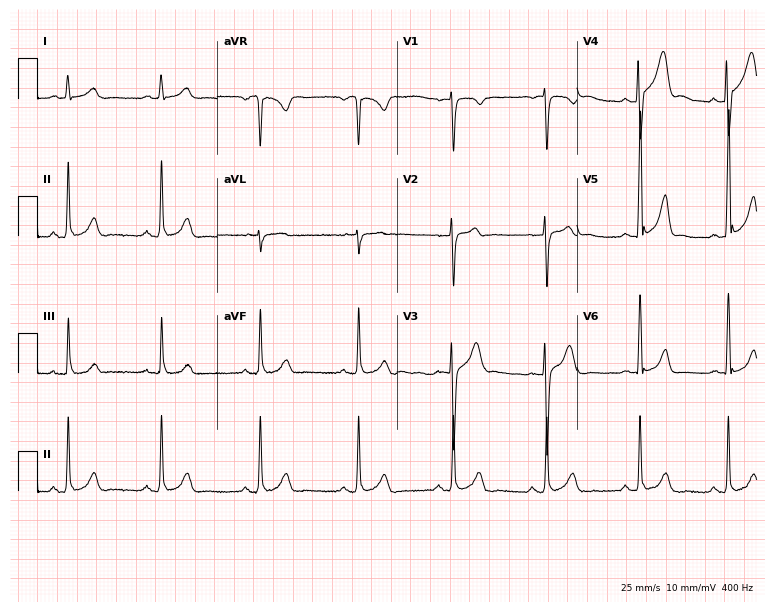
Electrocardiogram (7.3-second recording at 400 Hz), a 26-year-old male. Of the six screened findings (first-degree AV block, right bundle branch block, left bundle branch block, sinus bradycardia, atrial fibrillation, sinus tachycardia), none is recorded. Findings outside these six are not listed.